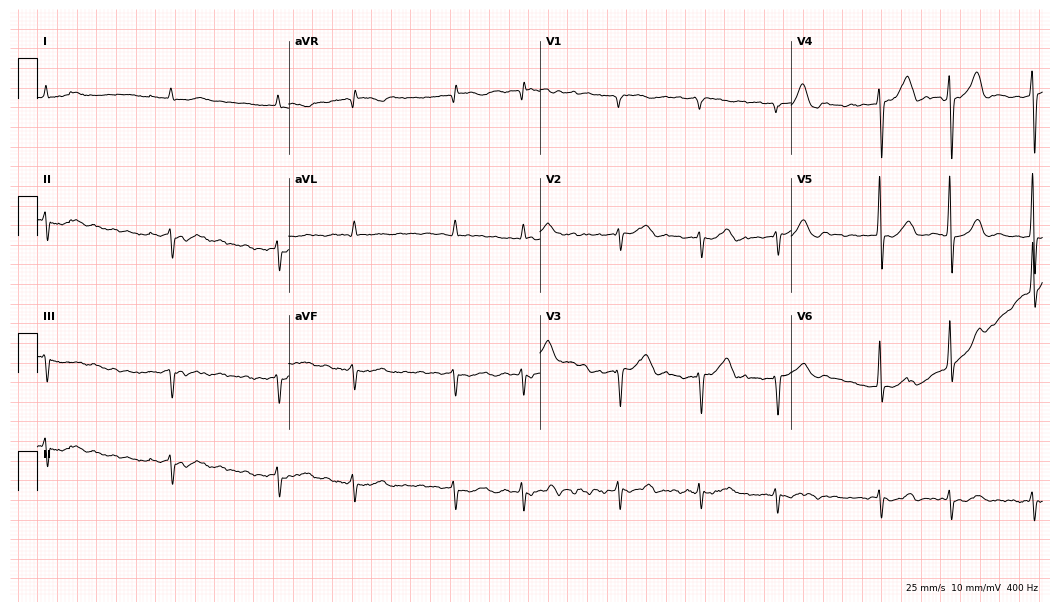
Standard 12-lead ECG recorded from a male patient, 80 years old (10.2-second recording at 400 Hz). The tracing shows atrial fibrillation.